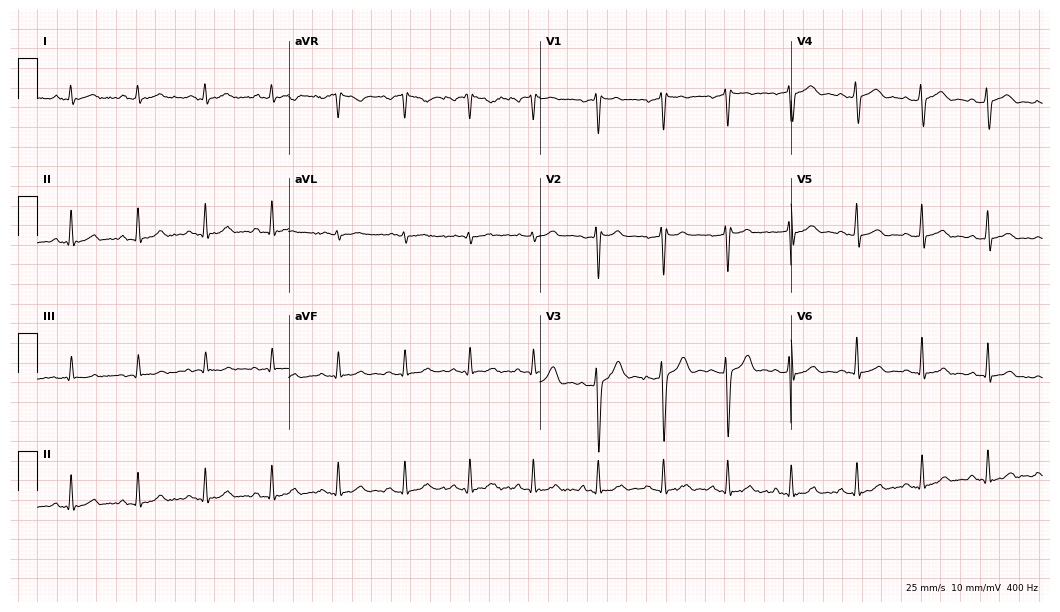
ECG — a male, 38 years old. Labelled as a normal ECG.